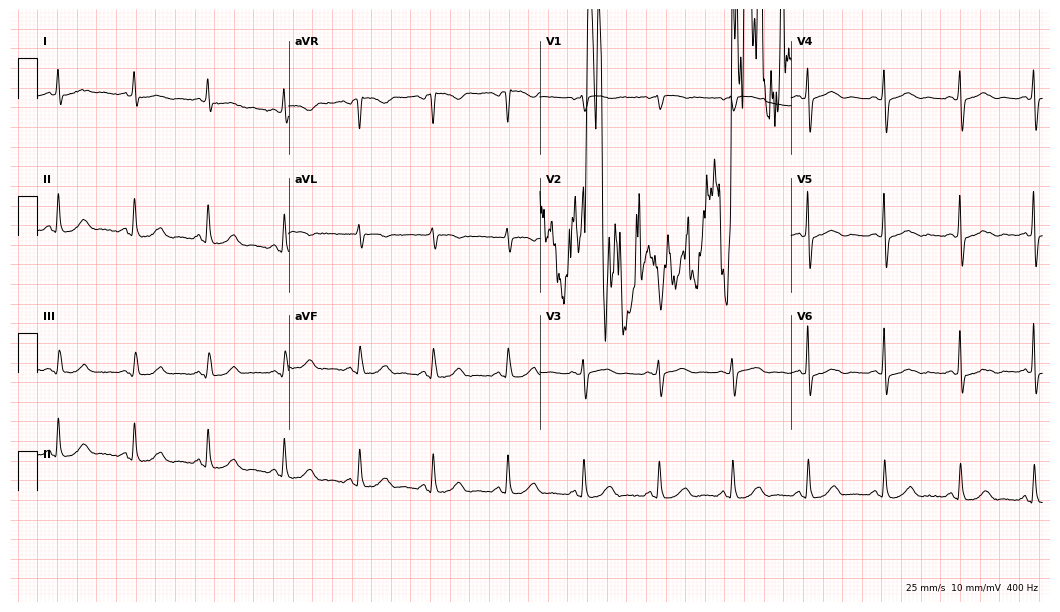
ECG (10.2-second recording at 400 Hz) — an 80-year-old female. Screened for six findings — first-degree AV block, right bundle branch block, left bundle branch block, sinus bradycardia, atrial fibrillation, sinus tachycardia — none is recorded. Findings outside these six are not listed.